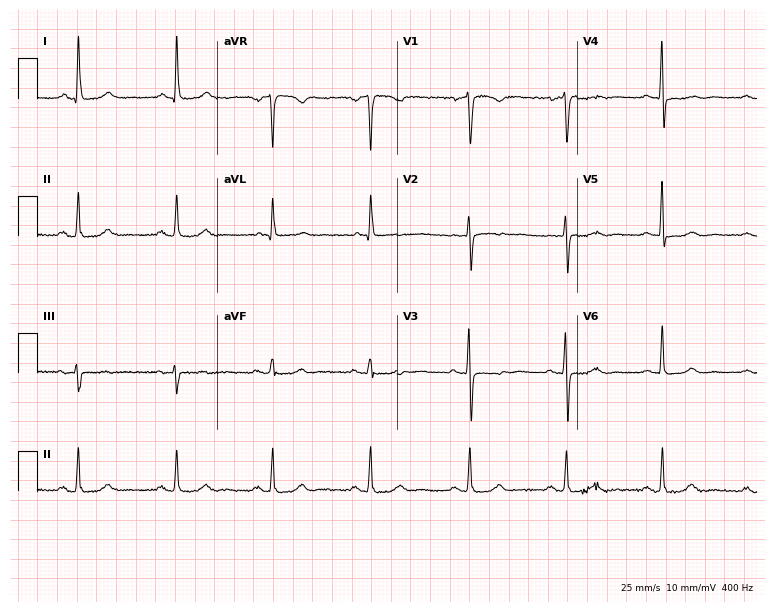
ECG (7.3-second recording at 400 Hz) — a 56-year-old woman. Screened for six findings — first-degree AV block, right bundle branch block, left bundle branch block, sinus bradycardia, atrial fibrillation, sinus tachycardia — none is recorded.